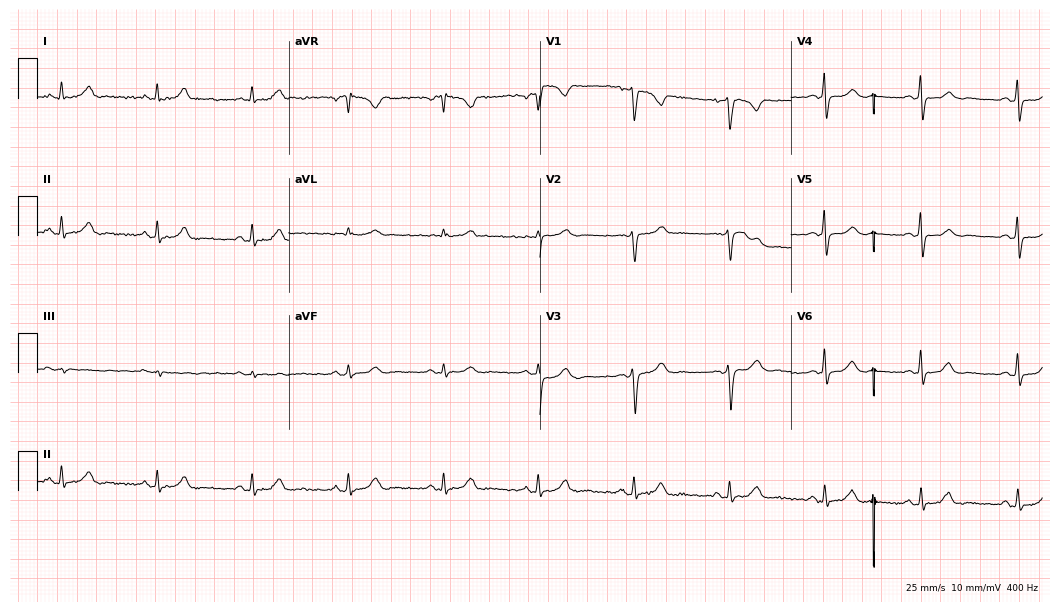
12-lead ECG from a 50-year-old female. Screened for six findings — first-degree AV block, right bundle branch block (RBBB), left bundle branch block (LBBB), sinus bradycardia, atrial fibrillation (AF), sinus tachycardia — none is recorded. Other findings, if any, are not listed.